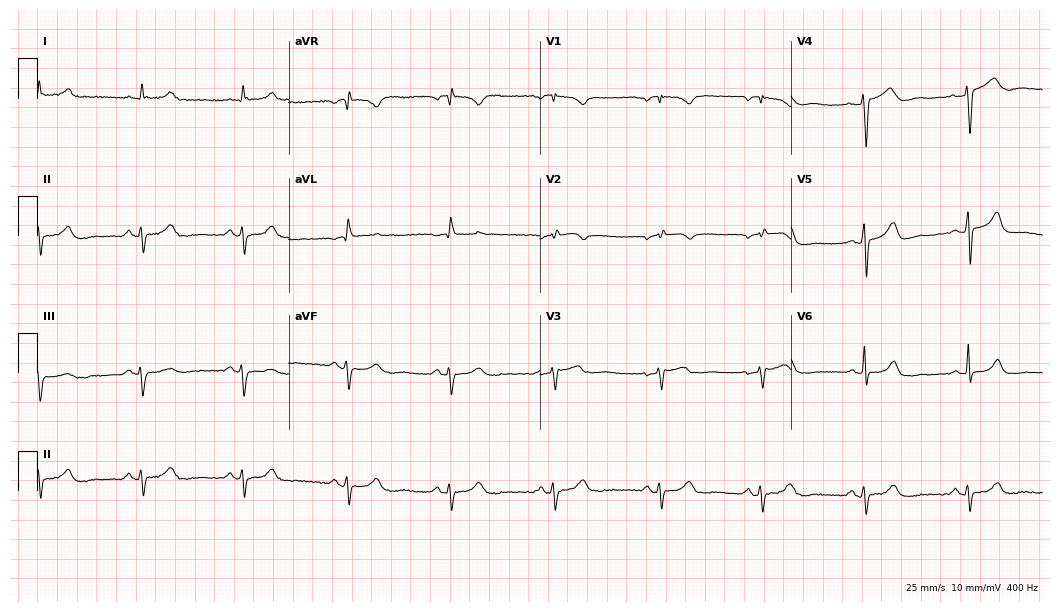
ECG (10.2-second recording at 400 Hz) — a woman, 69 years old. Screened for six findings — first-degree AV block, right bundle branch block, left bundle branch block, sinus bradycardia, atrial fibrillation, sinus tachycardia — none is recorded. Only these six findings were labelled.